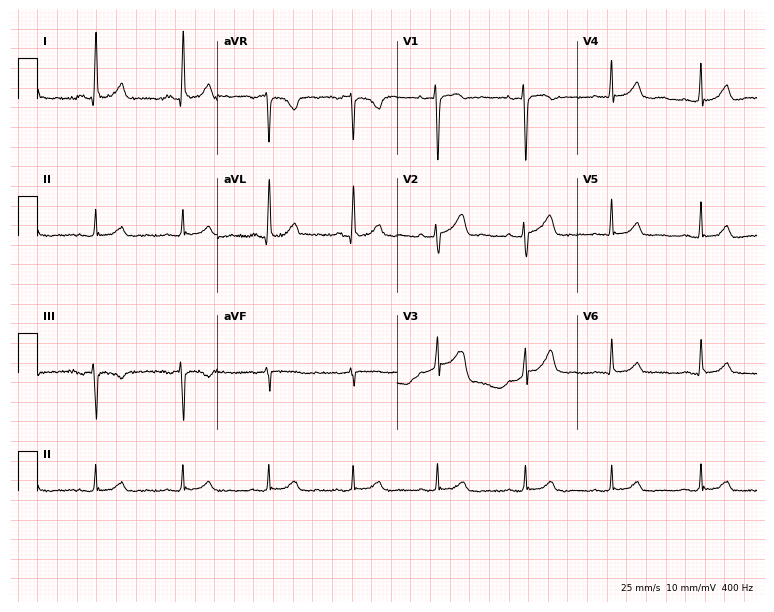
Standard 12-lead ECG recorded from a female patient, 58 years old. Read as a normal ECG.